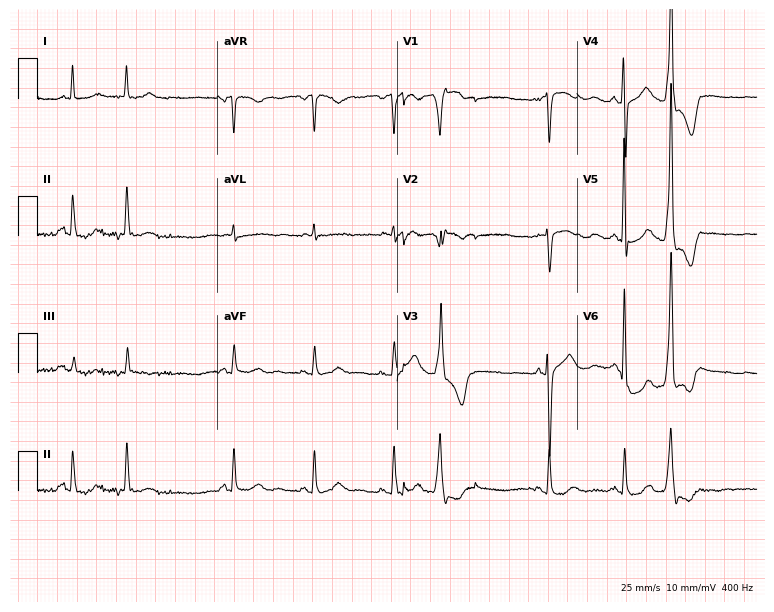
ECG — a male patient, 74 years old. Screened for six findings — first-degree AV block, right bundle branch block, left bundle branch block, sinus bradycardia, atrial fibrillation, sinus tachycardia — none is recorded.